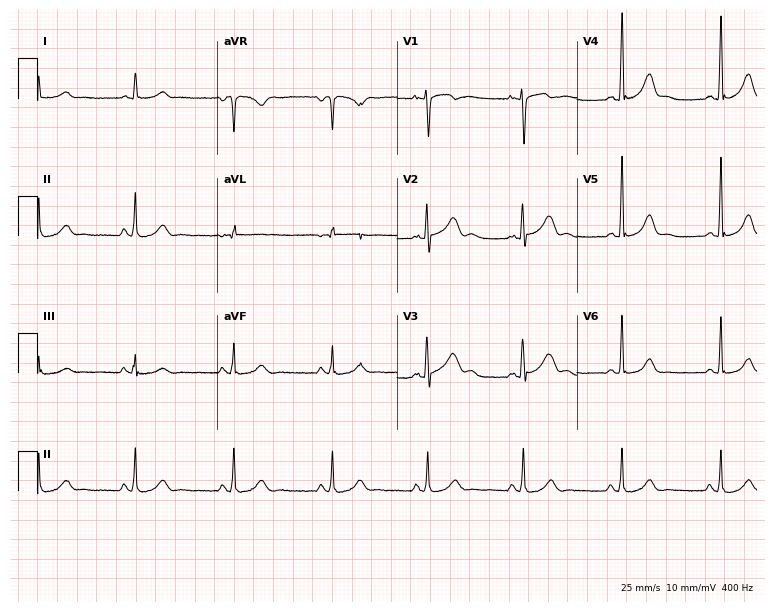
Standard 12-lead ECG recorded from a female patient, 34 years old. None of these six findings is recorded: first-degree AV block, right bundle branch block, left bundle branch block, sinus bradycardia, atrial fibrillation, sinus tachycardia.